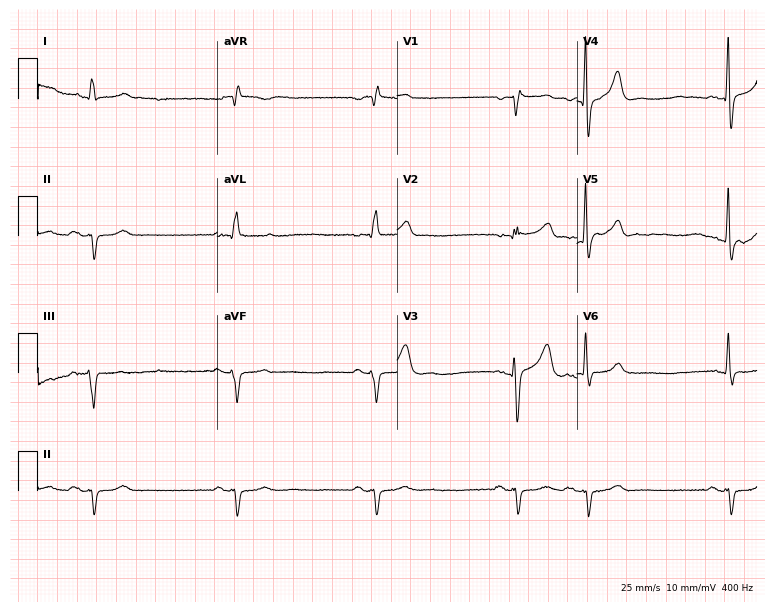
Standard 12-lead ECG recorded from a man, 83 years old. The tracing shows right bundle branch block, sinus bradycardia (a sinus rate of 50 beats per minute or less).